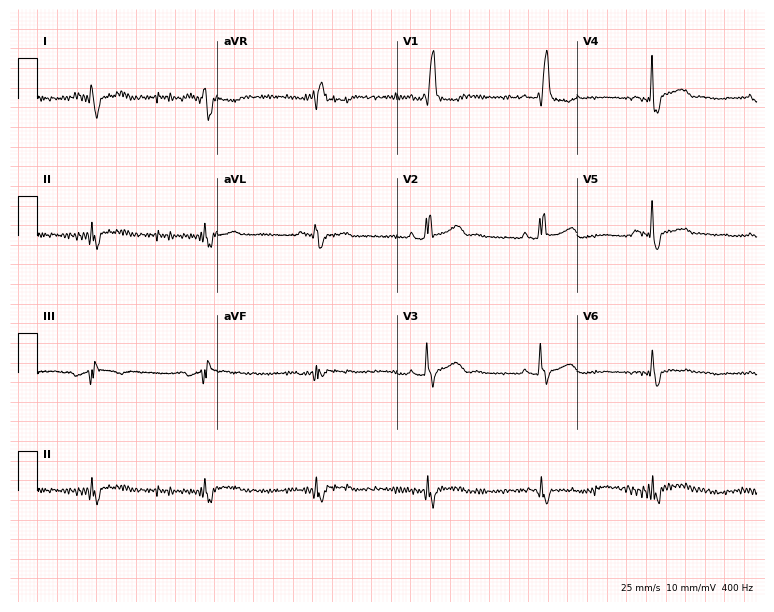
Electrocardiogram, a male patient, 46 years old. Of the six screened findings (first-degree AV block, right bundle branch block, left bundle branch block, sinus bradycardia, atrial fibrillation, sinus tachycardia), none is recorded. Only these six findings were labelled.